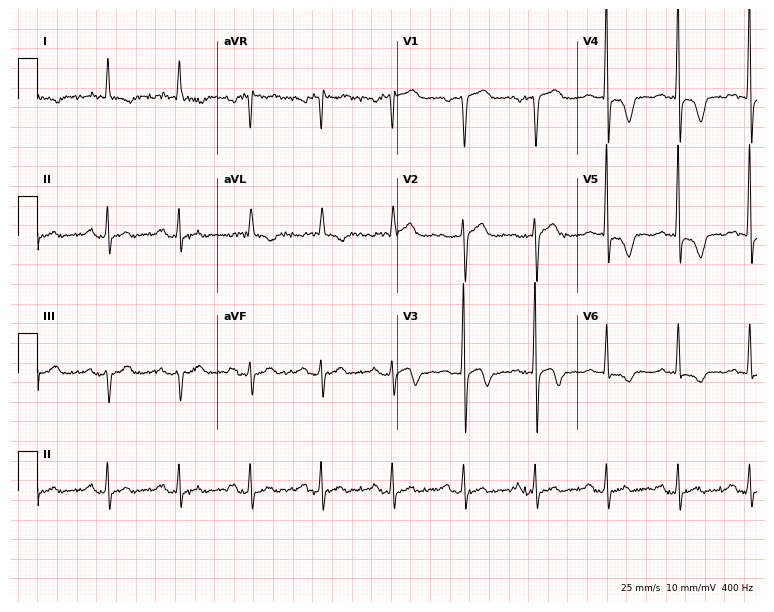
Electrocardiogram (7.3-second recording at 400 Hz), a man, 71 years old. Of the six screened findings (first-degree AV block, right bundle branch block, left bundle branch block, sinus bradycardia, atrial fibrillation, sinus tachycardia), none is recorded. Findings outside these six are not listed.